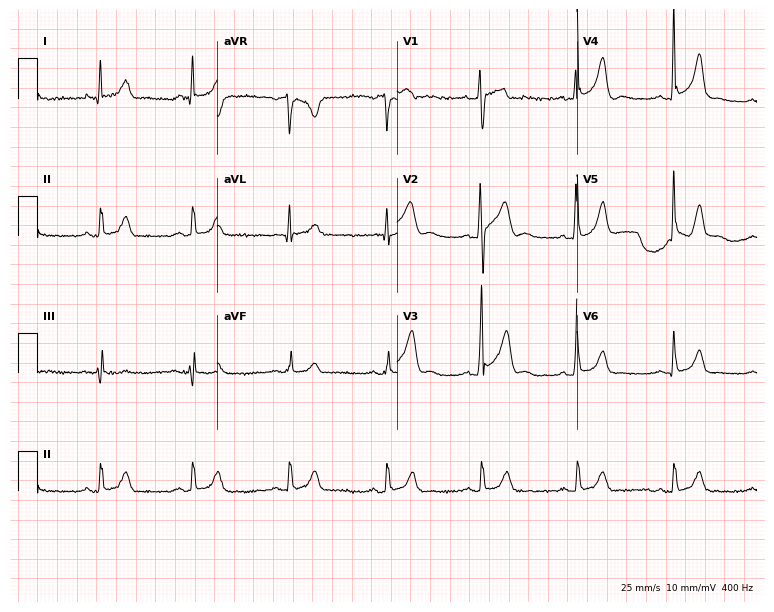
ECG (7.3-second recording at 400 Hz) — a 39-year-old man. Screened for six findings — first-degree AV block, right bundle branch block (RBBB), left bundle branch block (LBBB), sinus bradycardia, atrial fibrillation (AF), sinus tachycardia — none is recorded. Only these six findings were labelled.